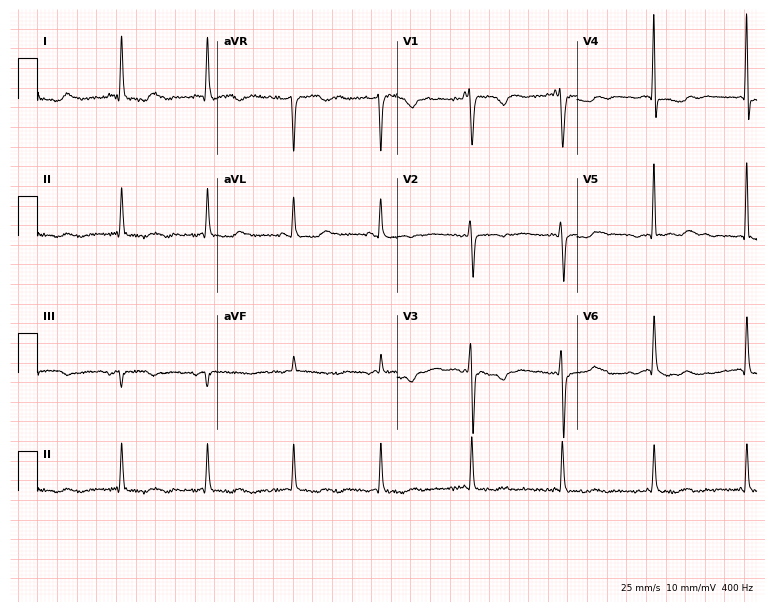
Resting 12-lead electrocardiogram. Patient: a 52-year-old female. None of these six findings is recorded: first-degree AV block, right bundle branch block, left bundle branch block, sinus bradycardia, atrial fibrillation, sinus tachycardia.